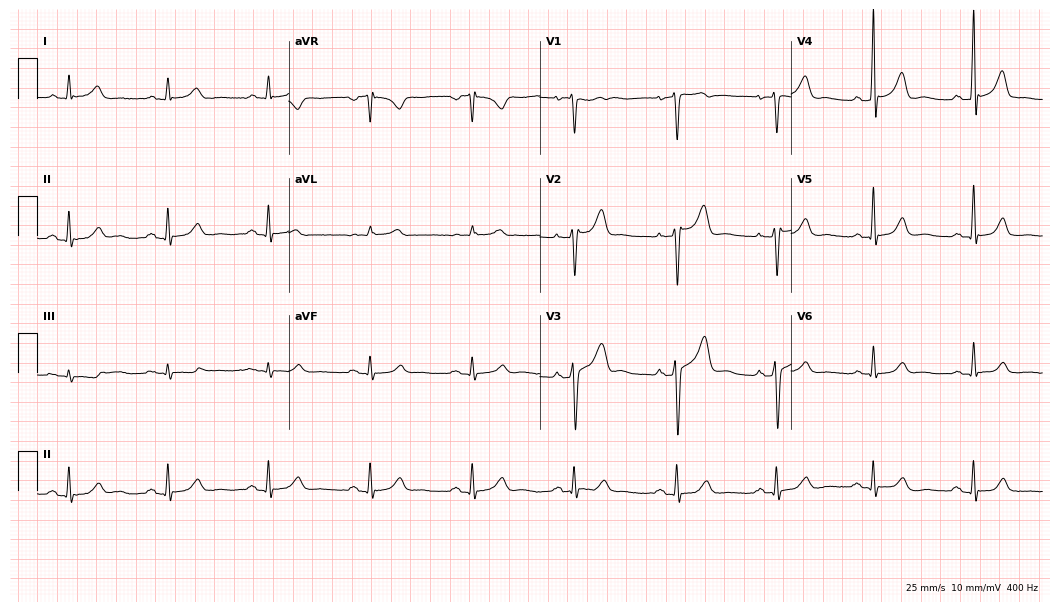
12-lead ECG (10.2-second recording at 400 Hz) from a male, 53 years old. Labelled as a normal ECG.